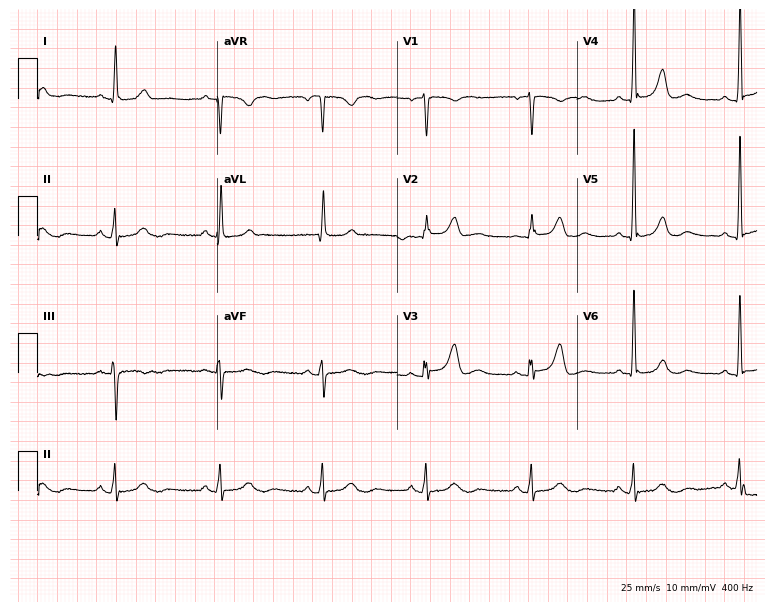
Resting 12-lead electrocardiogram. Patient: a 63-year-old female. Read as a normal ECG.